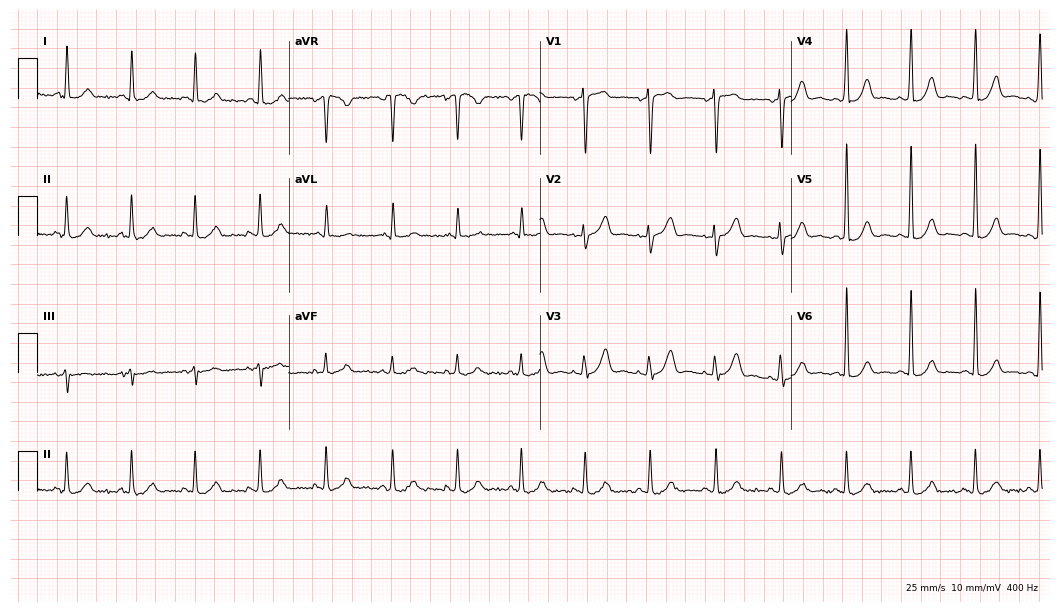
Standard 12-lead ECG recorded from a woman, 48 years old. Read as a normal ECG.